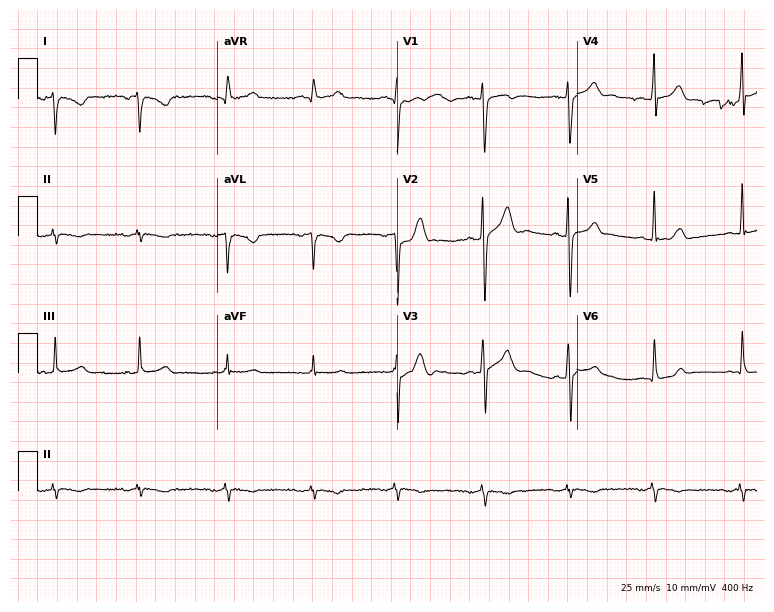
Standard 12-lead ECG recorded from a male patient, 23 years old. None of these six findings is recorded: first-degree AV block, right bundle branch block (RBBB), left bundle branch block (LBBB), sinus bradycardia, atrial fibrillation (AF), sinus tachycardia.